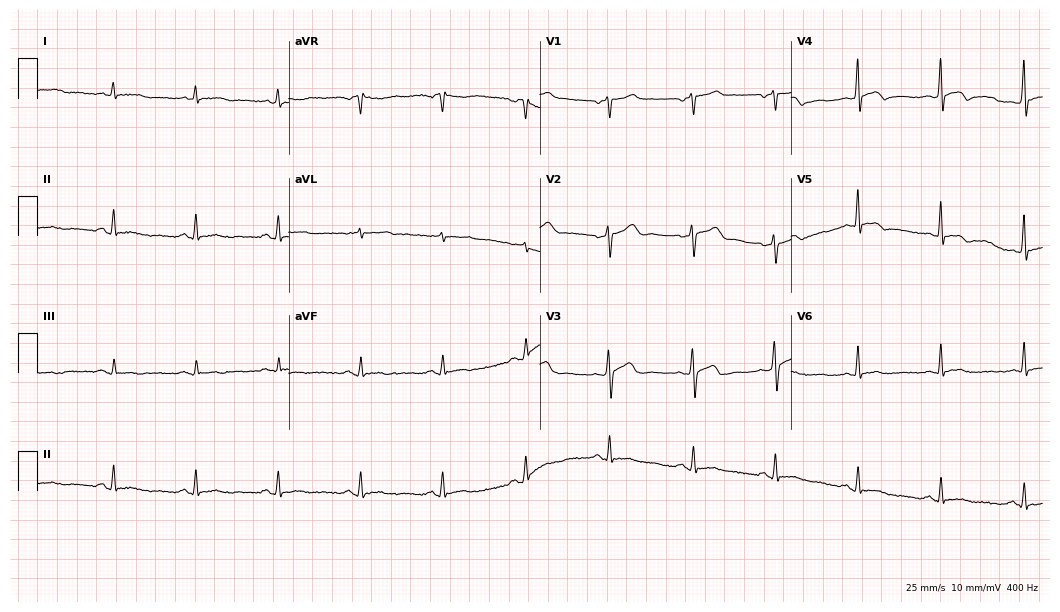
12-lead ECG (10.2-second recording at 400 Hz) from a male, 38 years old. Screened for six findings — first-degree AV block, right bundle branch block, left bundle branch block, sinus bradycardia, atrial fibrillation, sinus tachycardia — none is recorded. Findings outside these six are not listed.